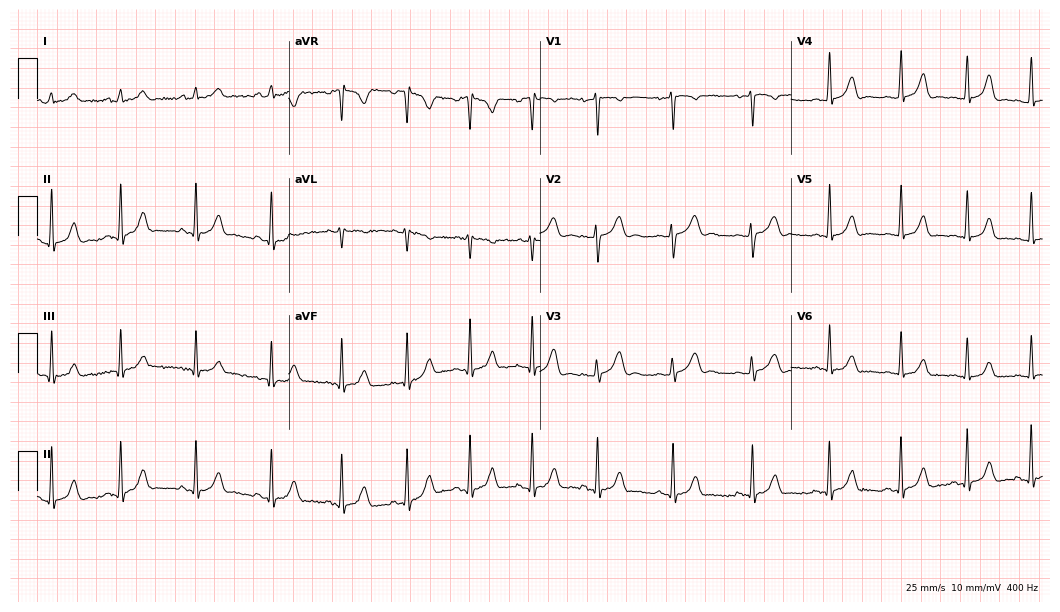
Electrocardiogram (10.2-second recording at 400 Hz), a female patient, 23 years old. Overall reading on record: normal ECG.